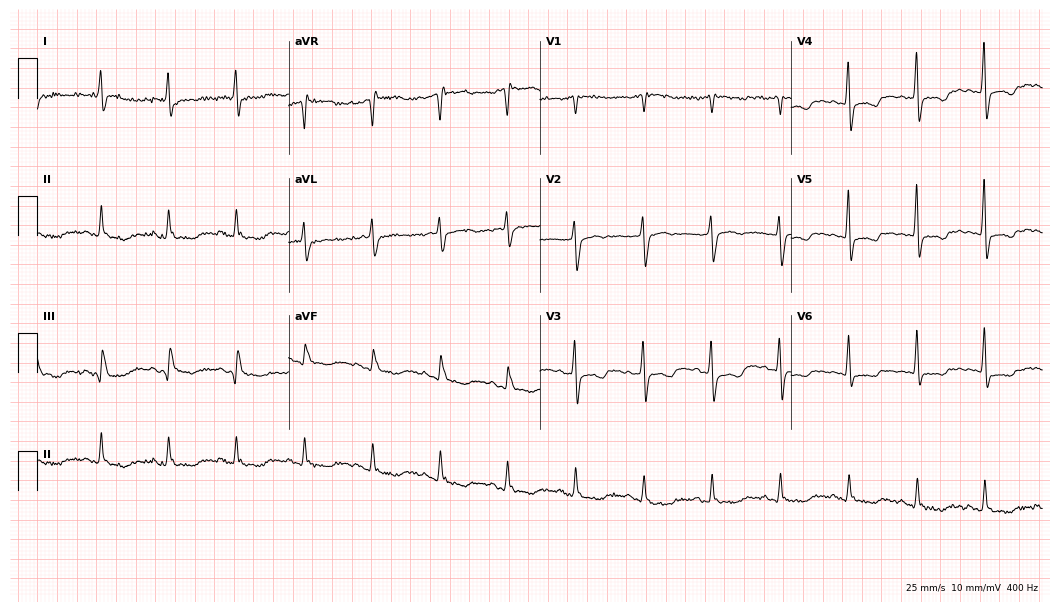
Resting 12-lead electrocardiogram. Patient: a 72-year-old woman. None of these six findings is recorded: first-degree AV block, right bundle branch block, left bundle branch block, sinus bradycardia, atrial fibrillation, sinus tachycardia.